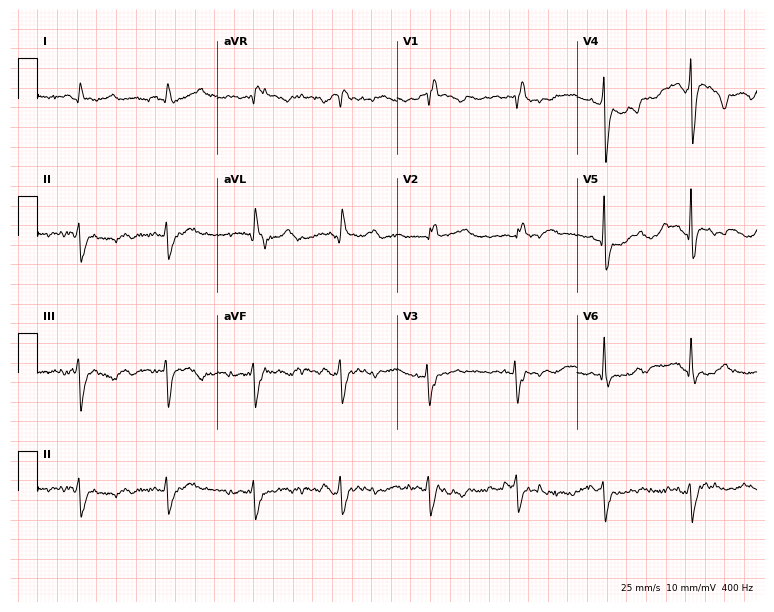
12-lead ECG (7.3-second recording at 400 Hz) from a 46-year-old man. Findings include right bundle branch block.